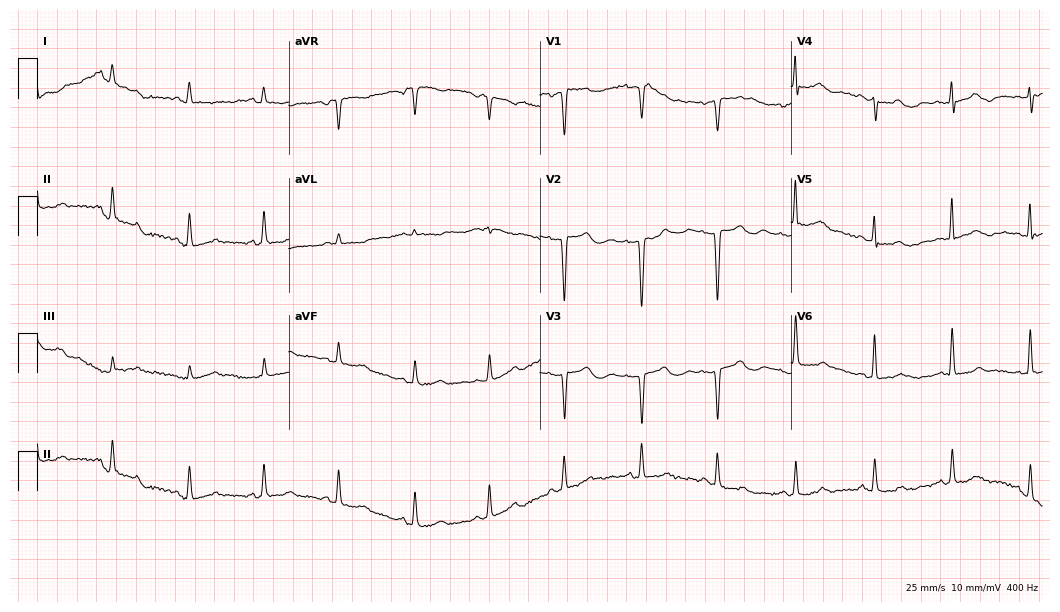
12-lead ECG from a female patient, 26 years old. No first-degree AV block, right bundle branch block (RBBB), left bundle branch block (LBBB), sinus bradycardia, atrial fibrillation (AF) or sinus tachycardia recorded for this tracing. Other findings, if any, are not listed.